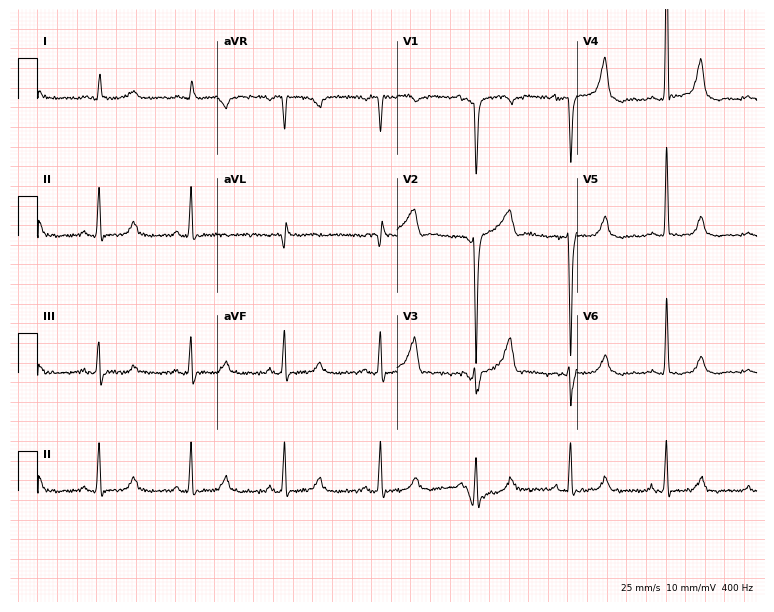
Standard 12-lead ECG recorded from a 59-year-old woman (7.3-second recording at 400 Hz). None of these six findings is recorded: first-degree AV block, right bundle branch block, left bundle branch block, sinus bradycardia, atrial fibrillation, sinus tachycardia. Findings outside these six are not listed.